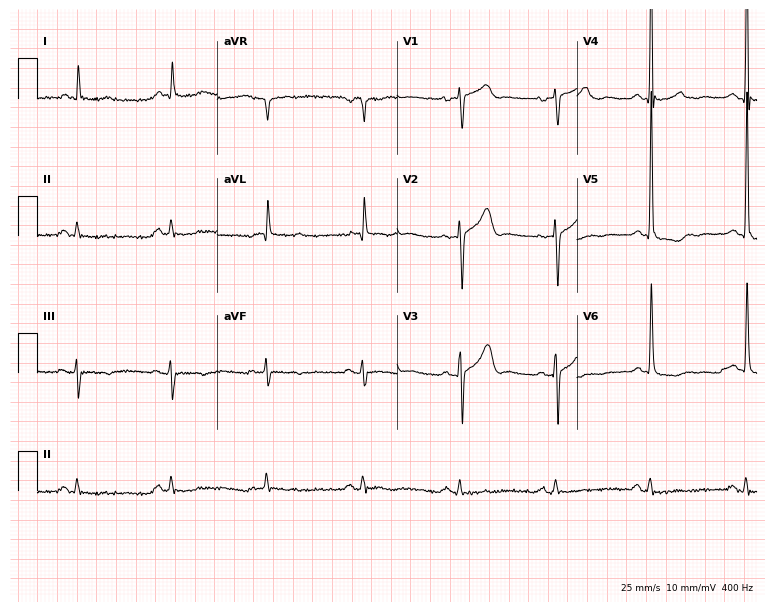
Electrocardiogram (7.3-second recording at 400 Hz), a male, 80 years old. Of the six screened findings (first-degree AV block, right bundle branch block, left bundle branch block, sinus bradycardia, atrial fibrillation, sinus tachycardia), none is recorded. Only these six findings were labelled.